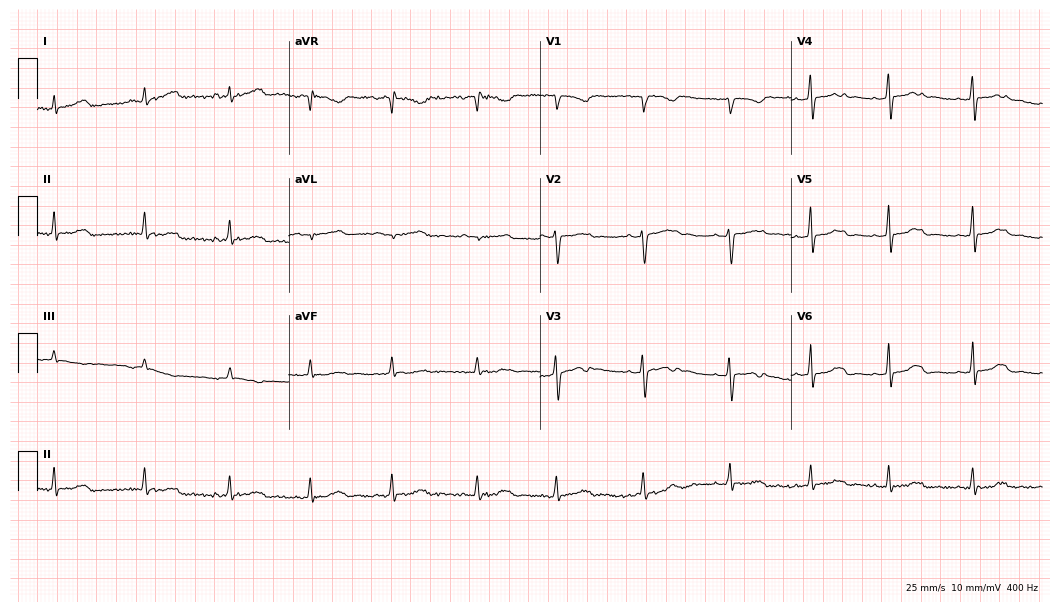
Electrocardiogram (10.2-second recording at 400 Hz), a female, 37 years old. Overall reading on record: normal ECG.